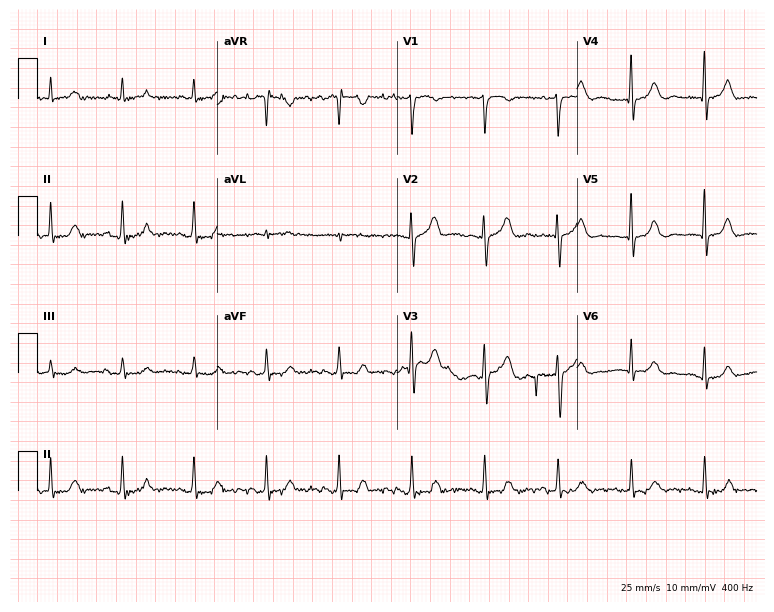
12-lead ECG from a woman, 70 years old. Recorded interpretation: within normal limits.